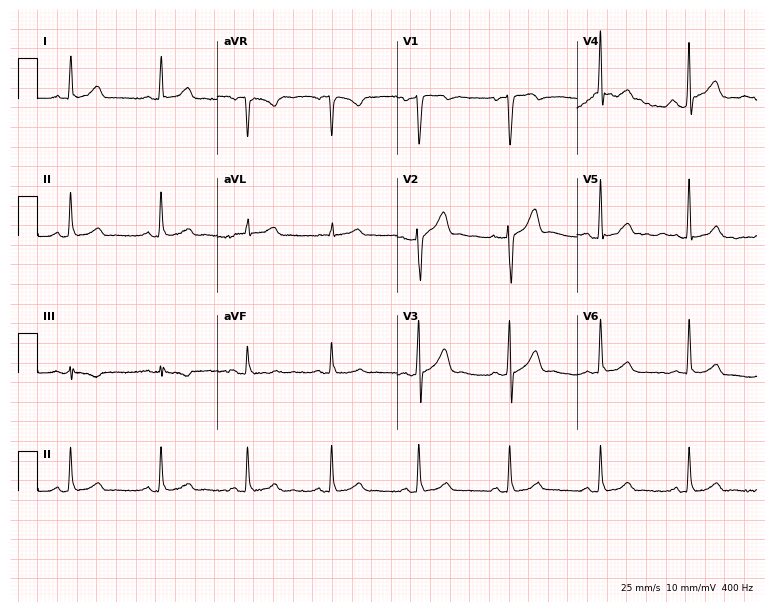
Resting 12-lead electrocardiogram (7.3-second recording at 400 Hz). Patient: a 35-year-old male. Read as a normal ECG.